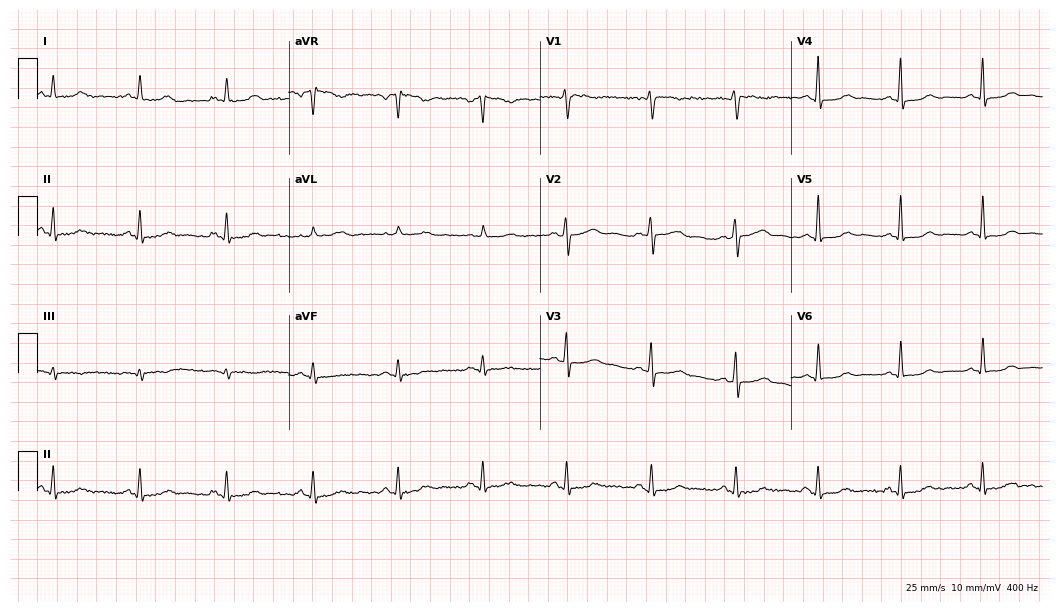
12-lead ECG from a 54-year-old female. Labelled as a normal ECG.